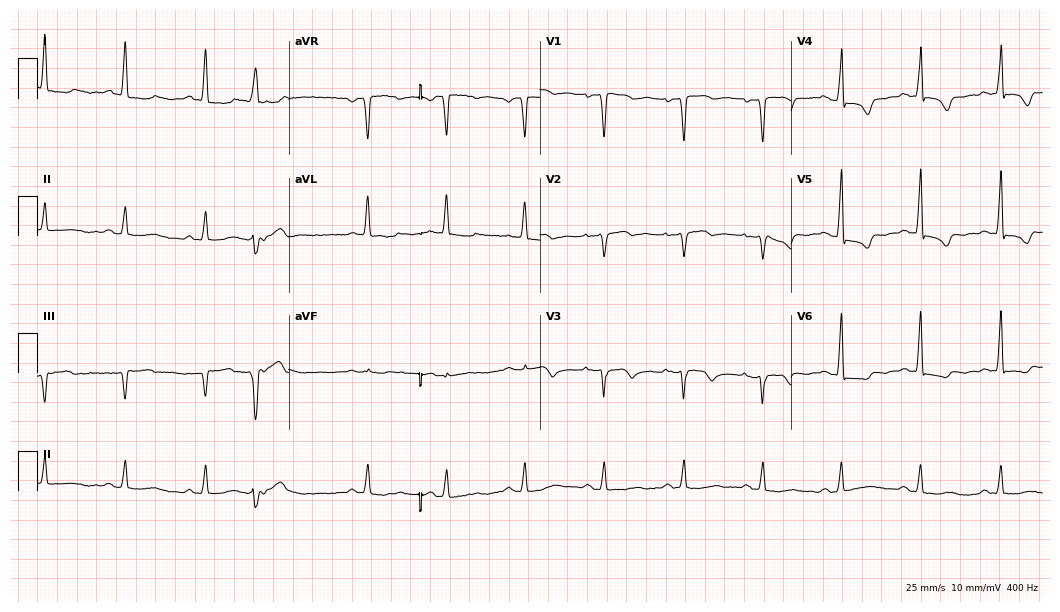
ECG (10.2-second recording at 400 Hz) — a female patient, 79 years old. Screened for six findings — first-degree AV block, right bundle branch block, left bundle branch block, sinus bradycardia, atrial fibrillation, sinus tachycardia — none is recorded. Other findings, if any, are not listed.